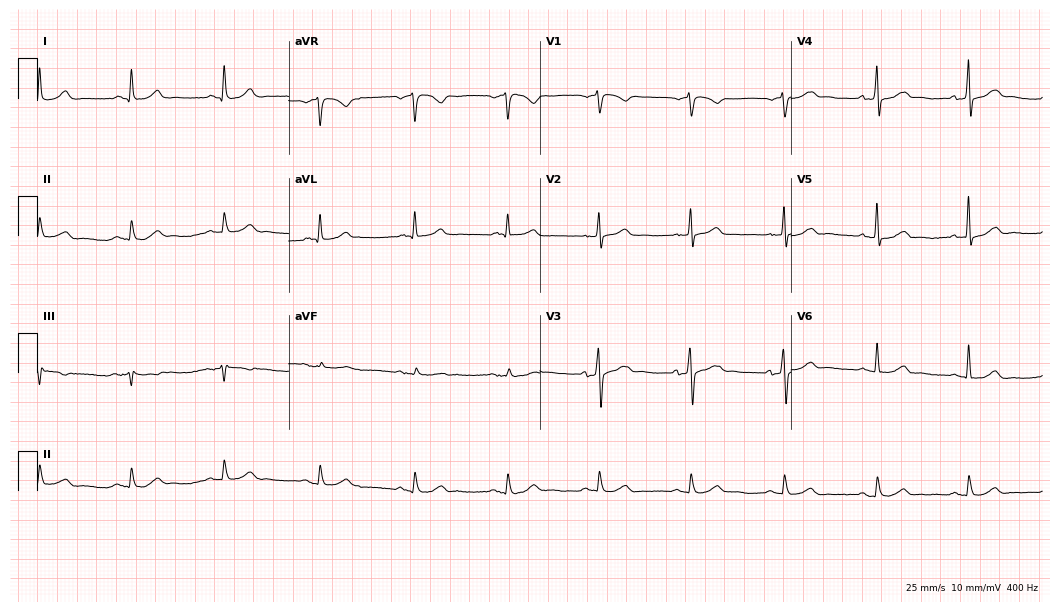
Electrocardiogram (10.2-second recording at 400 Hz), a male patient, 57 years old. Overall reading on record: normal ECG.